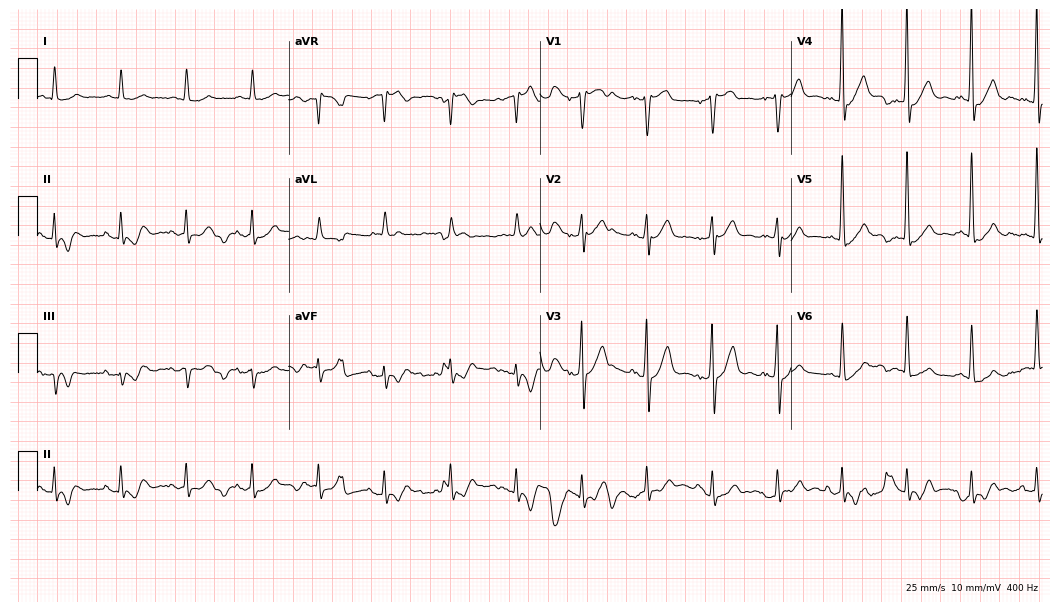
Electrocardiogram (10.2-second recording at 400 Hz), a man, 83 years old. Of the six screened findings (first-degree AV block, right bundle branch block (RBBB), left bundle branch block (LBBB), sinus bradycardia, atrial fibrillation (AF), sinus tachycardia), none is recorded.